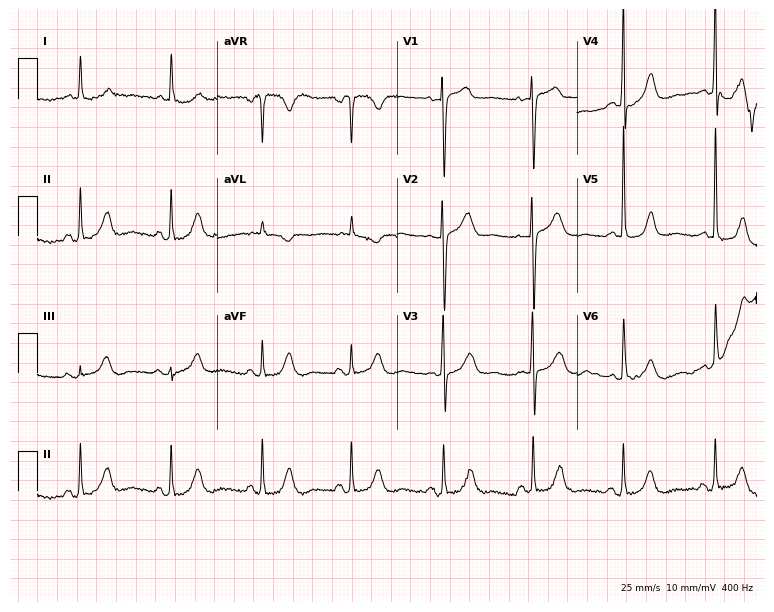
Electrocardiogram, a female, 83 years old. Of the six screened findings (first-degree AV block, right bundle branch block, left bundle branch block, sinus bradycardia, atrial fibrillation, sinus tachycardia), none is recorded. Findings outside these six are not listed.